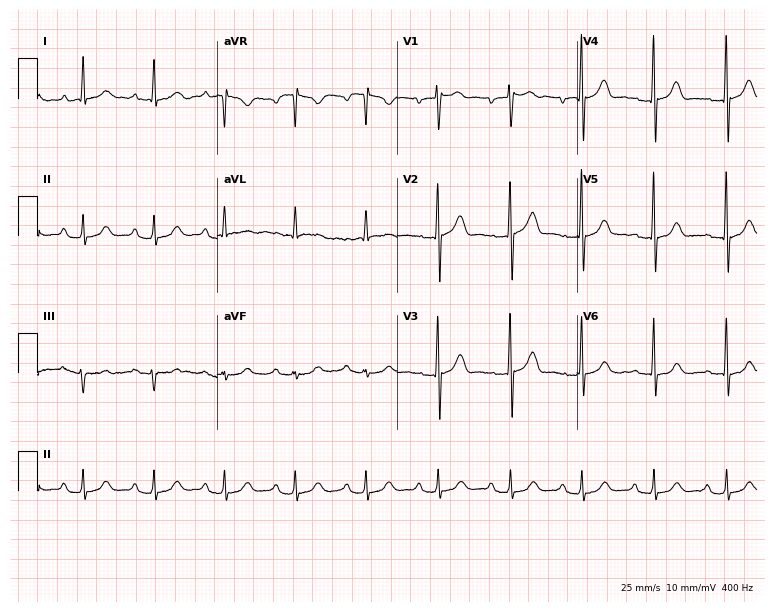
Standard 12-lead ECG recorded from a man, 54 years old. None of these six findings is recorded: first-degree AV block, right bundle branch block (RBBB), left bundle branch block (LBBB), sinus bradycardia, atrial fibrillation (AF), sinus tachycardia.